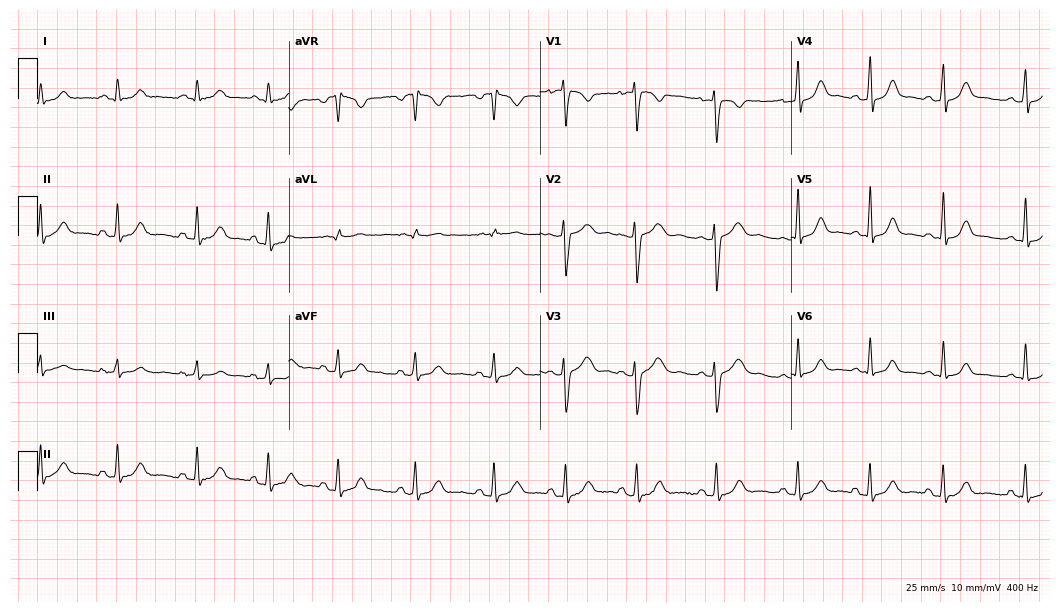
12-lead ECG from a 25-year-old woman (10.2-second recording at 400 Hz). No first-degree AV block, right bundle branch block, left bundle branch block, sinus bradycardia, atrial fibrillation or sinus tachycardia recorded for this tracing.